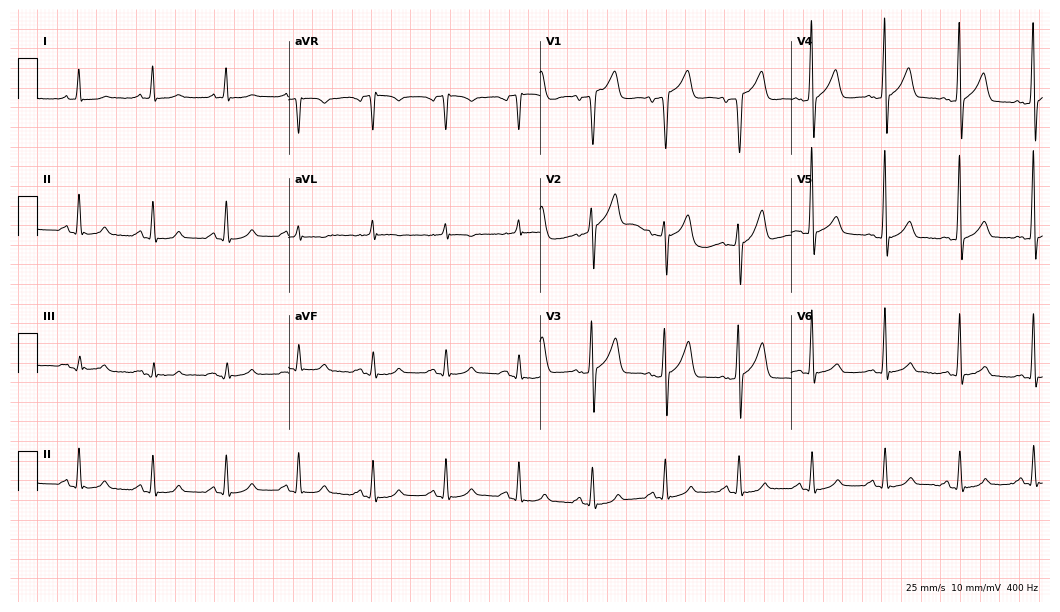
12-lead ECG (10.2-second recording at 400 Hz) from a male patient, 59 years old. Screened for six findings — first-degree AV block, right bundle branch block, left bundle branch block, sinus bradycardia, atrial fibrillation, sinus tachycardia — none is recorded.